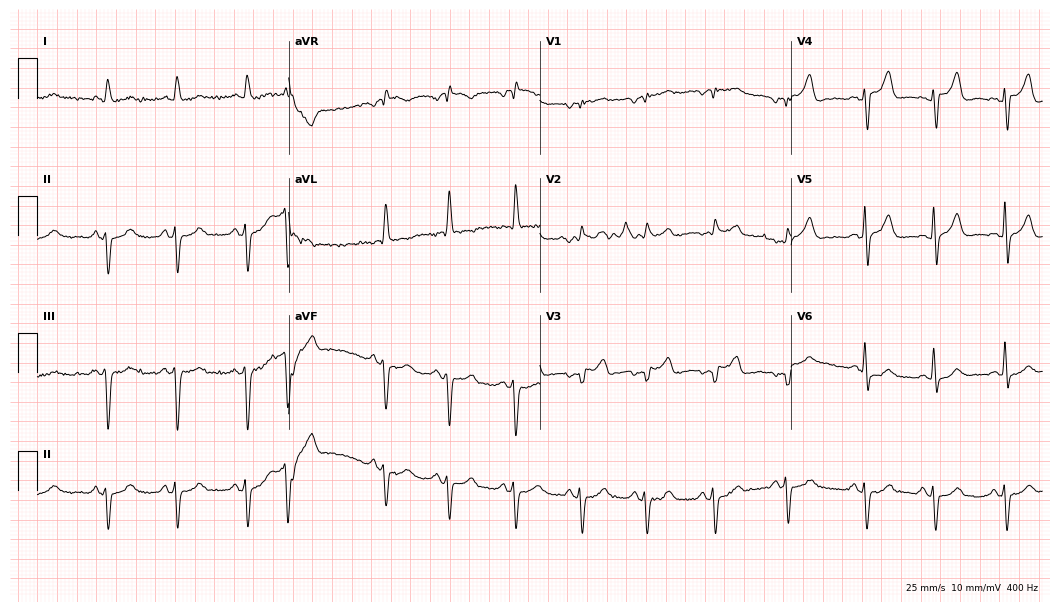
12-lead ECG (10.2-second recording at 400 Hz) from a 78-year-old female patient. Screened for six findings — first-degree AV block, right bundle branch block (RBBB), left bundle branch block (LBBB), sinus bradycardia, atrial fibrillation (AF), sinus tachycardia — none is recorded.